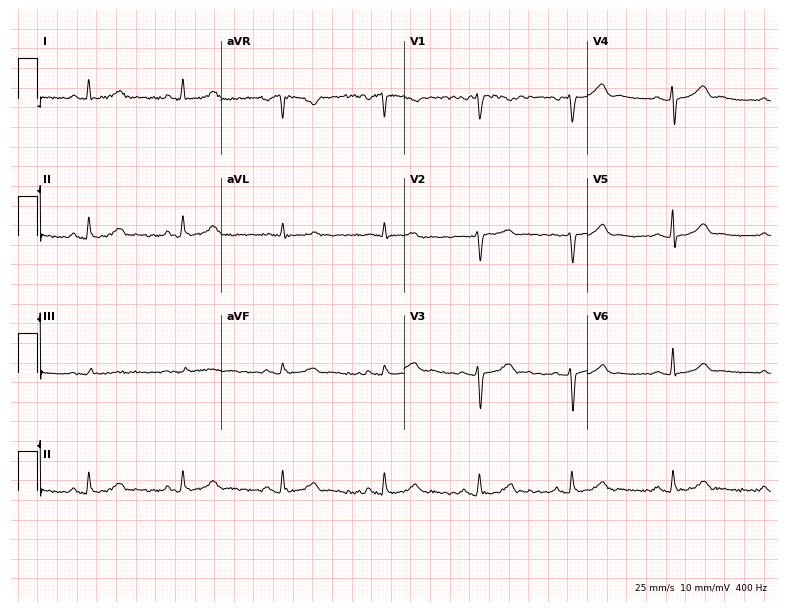
12-lead ECG from a woman, 46 years old. No first-degree AV block, right bundle branch block, left bundle branch block, sinus bradycardia, atrial fibrillation or sinus tachycardia recorded for this tracing.